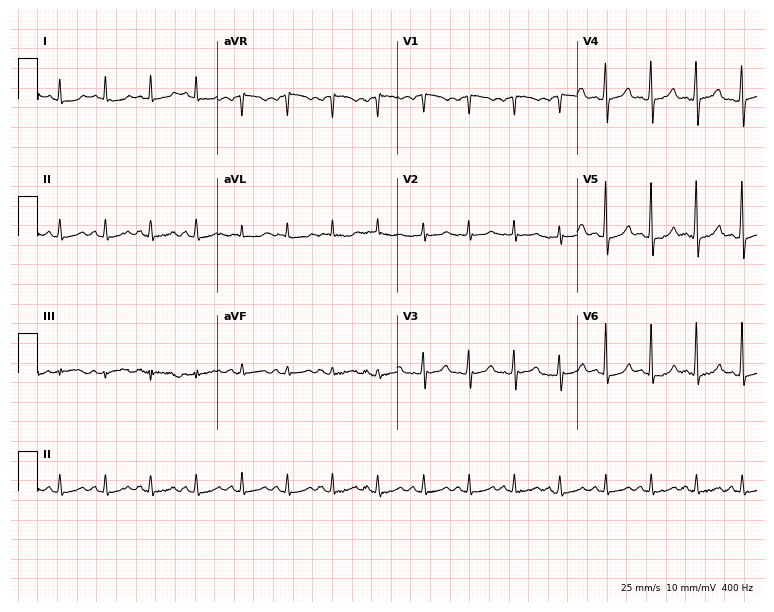
12-lead ECG from a female, 78 years old (7.3-second recording at 400 Hz). Shows sinus tachycardia (a sinus rate of 100 beats per minute or more).